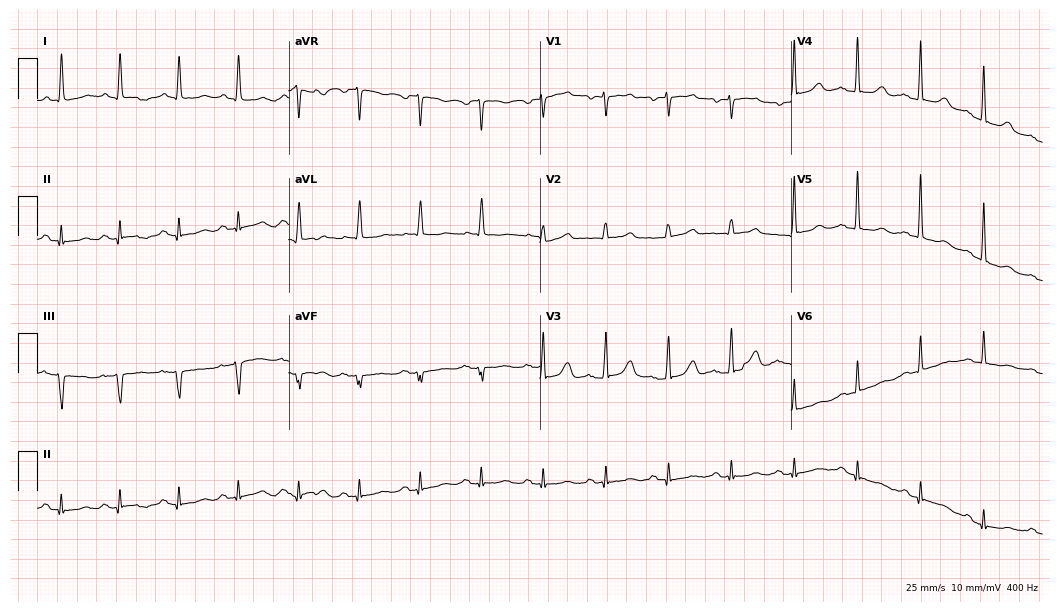
12-lead ECG from a 70-year-old woman. Screened for six findings — first-degree AV block, right bundle branch block (RBBB), left bundle branch block (LBBB), sinus bradycardia, atrial fibrillation (AF), sinus tachycardia — none is recorded.